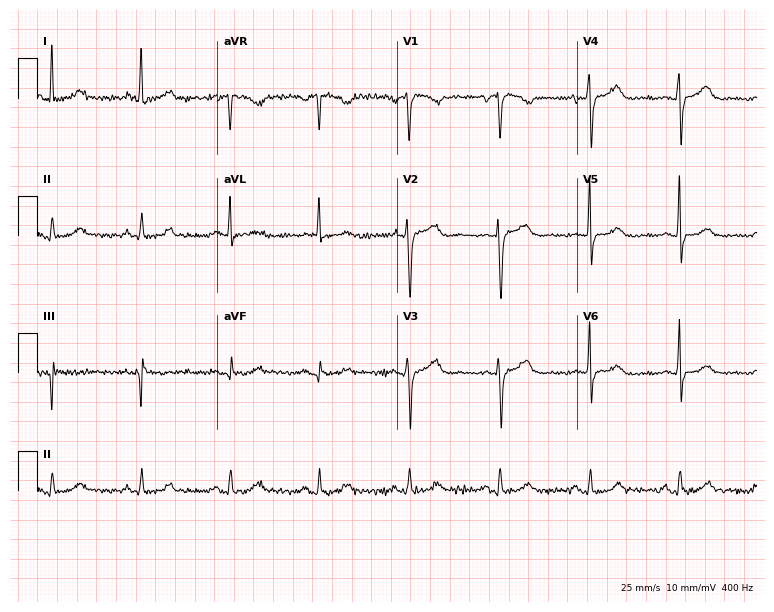
Standard 12-lead ECG recorded from a female patient, 67 years old (7.3-second recording at 400 Hz). Read as a normal ECG.